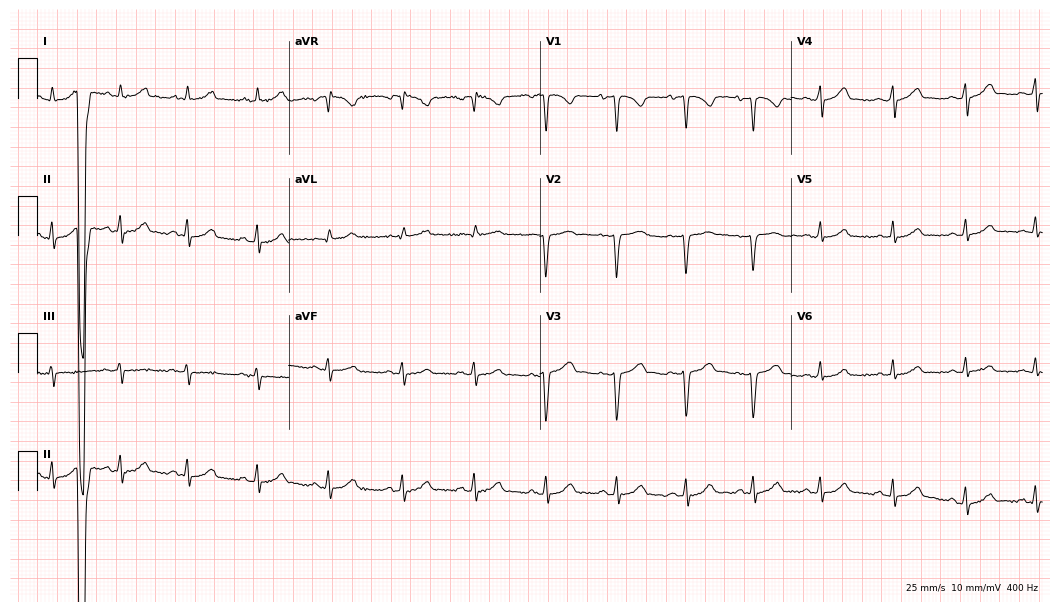
ECG (10.2-second recording at 400 Hz) — a female patient, 32 years old. Screened for six findings — first-degree AV block, right bundle branch block, left bundle branch block, sinus bradycardia, atrial fibrillation, sinus tachycardia — none is recorded. Only these six findings were labelled.